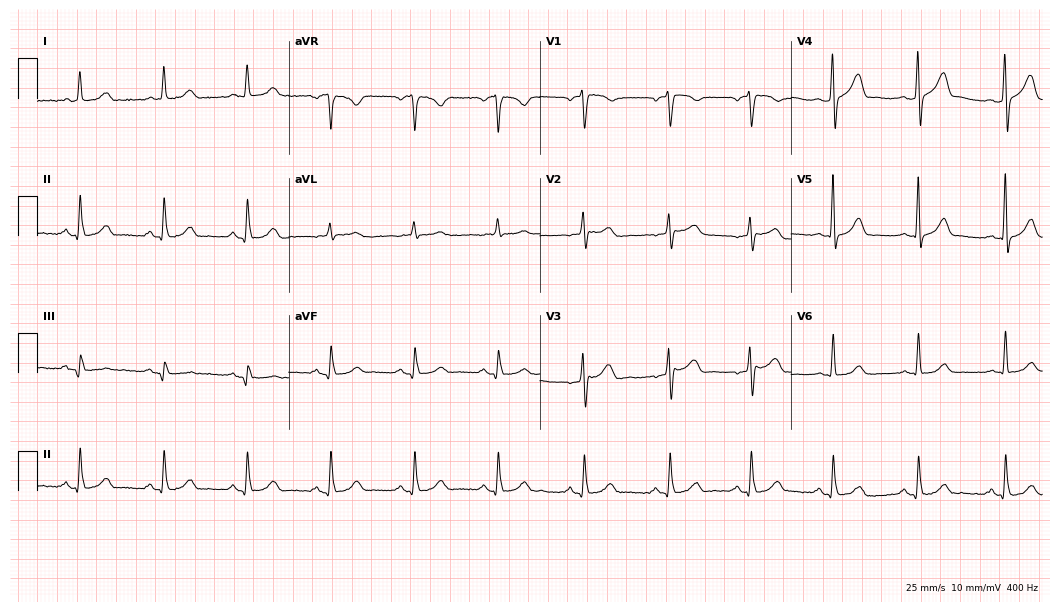
Electrocardiogram (10.2-second recording at 400 Hz), a 69-year-old male patient. Overall reading on record: normal ECG.